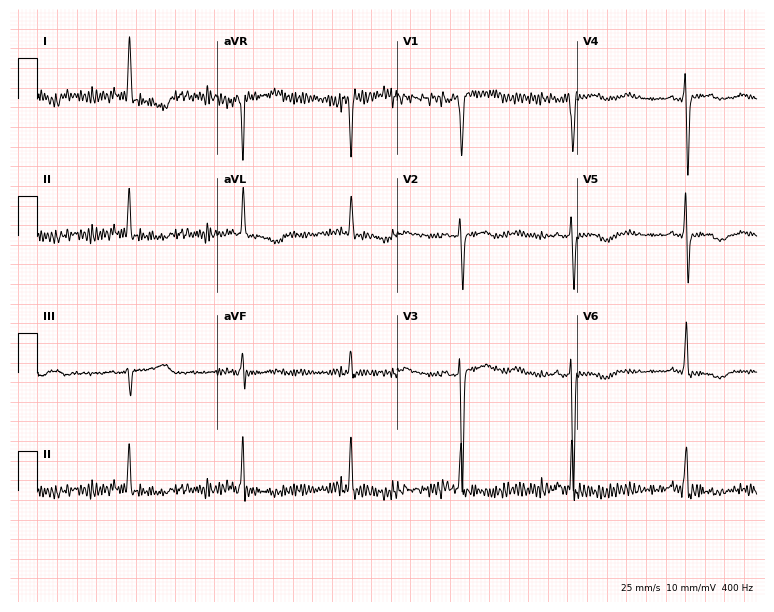
Resting 12-lead electrocardiogram. Patient: a 44-year-old female. None of these six findings is recorded: first-degree AV block, right bundle branch block, left bundle branch block, sinus bradycardia, atrial fibrillation, sinus tachycardia.